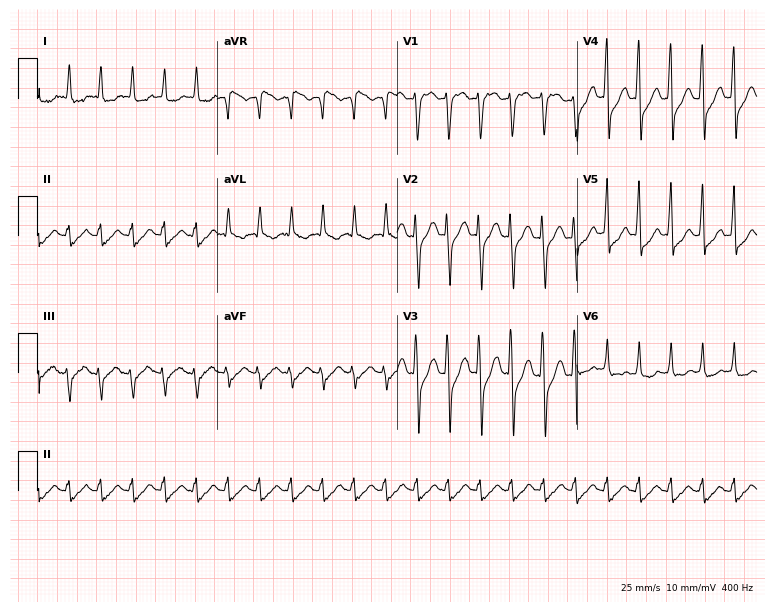
Resting 12-lead electrocardiogram (7.3-second recording at 400 Hz). Patient: a 70-year-old male. None of these six findings is recorded: first-degree AV block, right bundle branch block, left bundle branch block, sinus bradycardia, atrial fibrillation, sinus tachycardia.